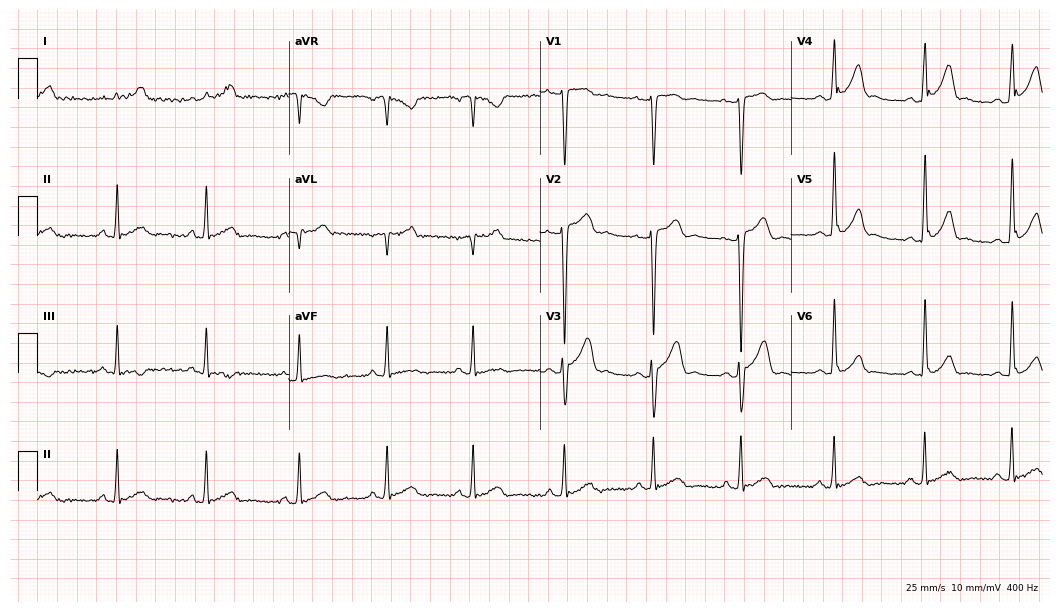
Resting 12-lead electrocardiogram (10.2-second recording at 400 Hz). Patient: a 24-year-old man. None of these six findings is recorded: first-degree AV block, right bundle branch block (RBBB), left bundle branch block (LBBB), sinus bradycardia, atrial fibrillation (AF), sinus tachycardia.